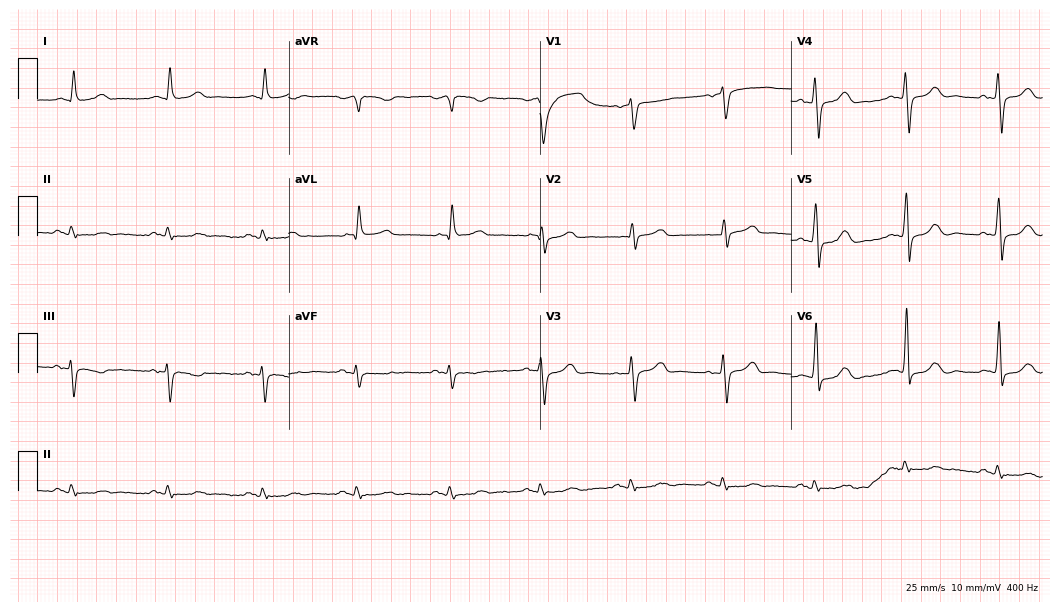
12-lead ECG from a 72-year-old male patient (10.2-second recording at 400 Hz). No first-degree AV block, right bundle branch block (RBBB), left bundle branch block (LBBB), sinus bradycardia, atrial fibrillation (AF) or sinus tachycardia recorded for this tracing.